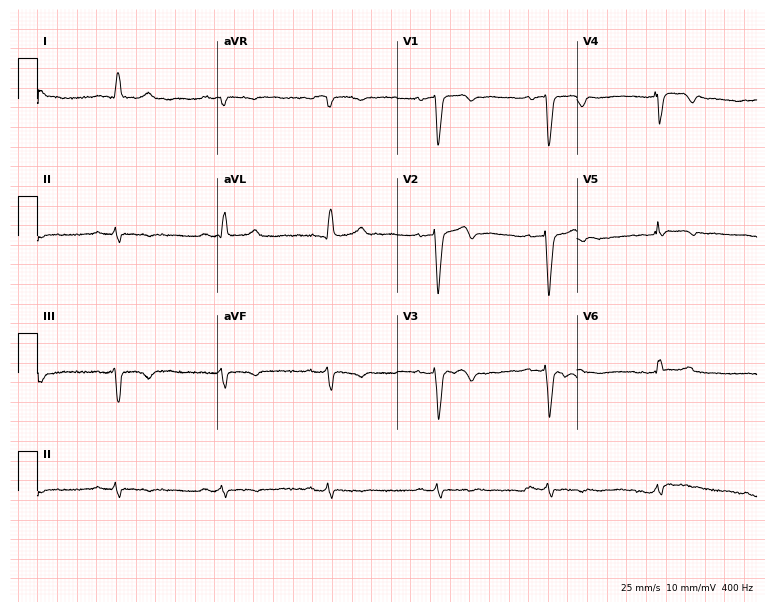
ECG (7.3-second recording at 400 Hz) — a man, 84 years old. Screened for six findings — first-degree AV block, right bundle branch block, left bundle branch block, sinus bradycardia, atrial fibrillation, sinus tachycardia — none is recorded. Findings outside these six are not listed.